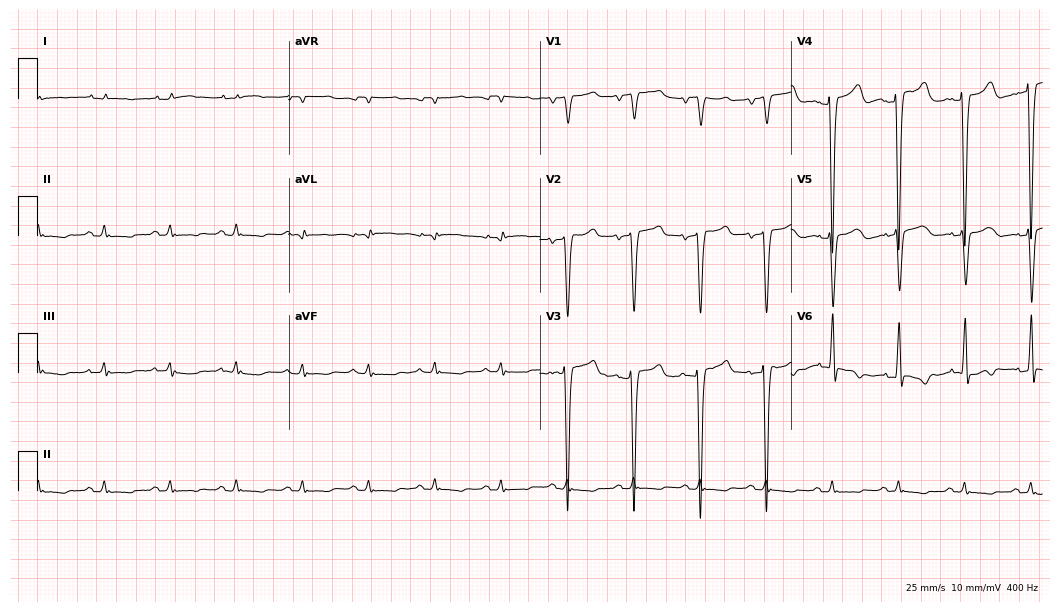
12-lead ECG from a 51-year-old man. Screened for six findings — first-degree AV block, right bundle branch block, left bundle branch block, sinus bradycardia, atrial fibrillation, sinus tachycardia — none is recorded. Other findings, if any, are not listed.